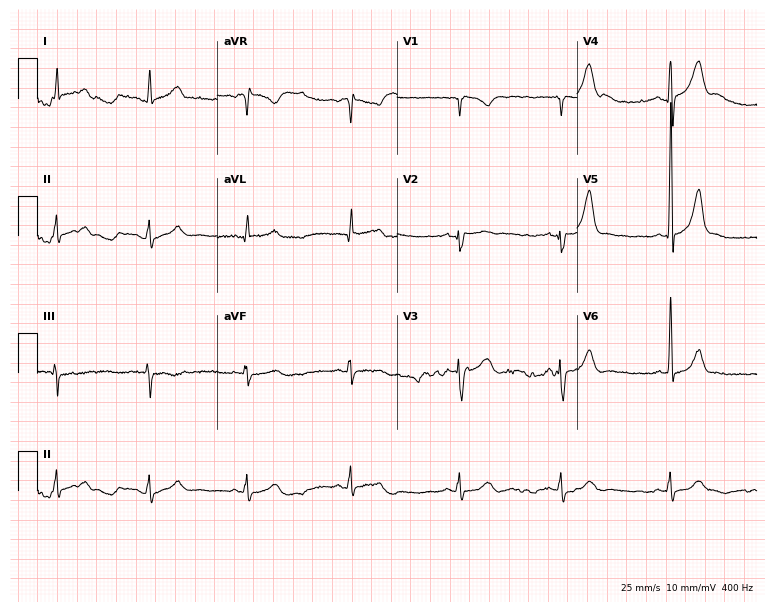
Resting 12-lead electrocardiogram (7.3-second recording at 400 Hz). Patient: a 21-year-old male. Read as a normal ECG.